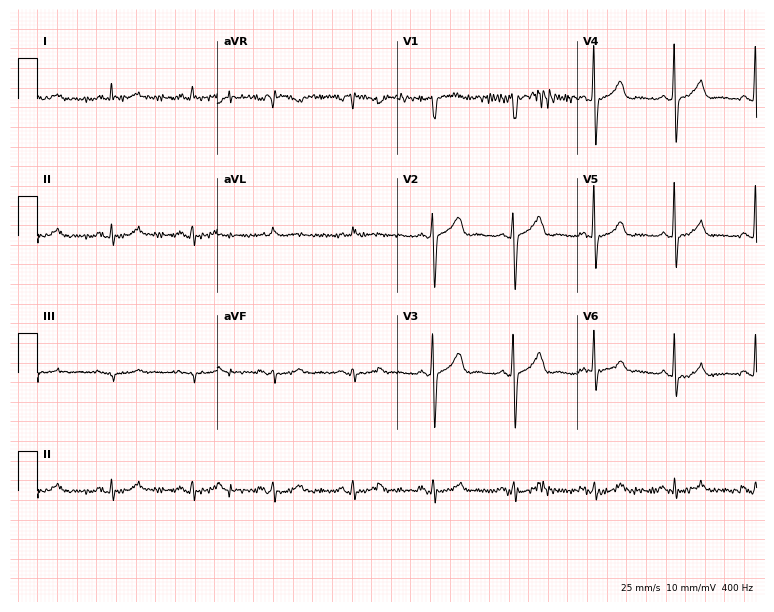
Resting 12-lead electrocardiogram (7.3-second recording at 400 Hz). Patient: a man, 79 years old. Read as a normal ECG.